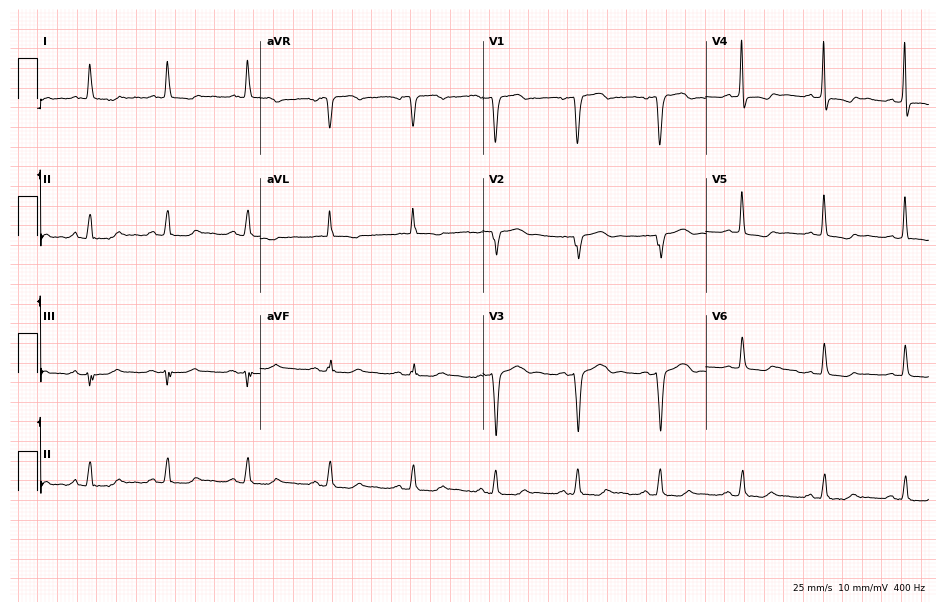
12-lead ECG from a female patient, 60 years old. No first-degree AV block, right bundle branch block, left bundle branch block, sinus bradycardia, atrial fibrillation or sinus tachycardia recorded for this tracing. Findings outside these six are not listed.